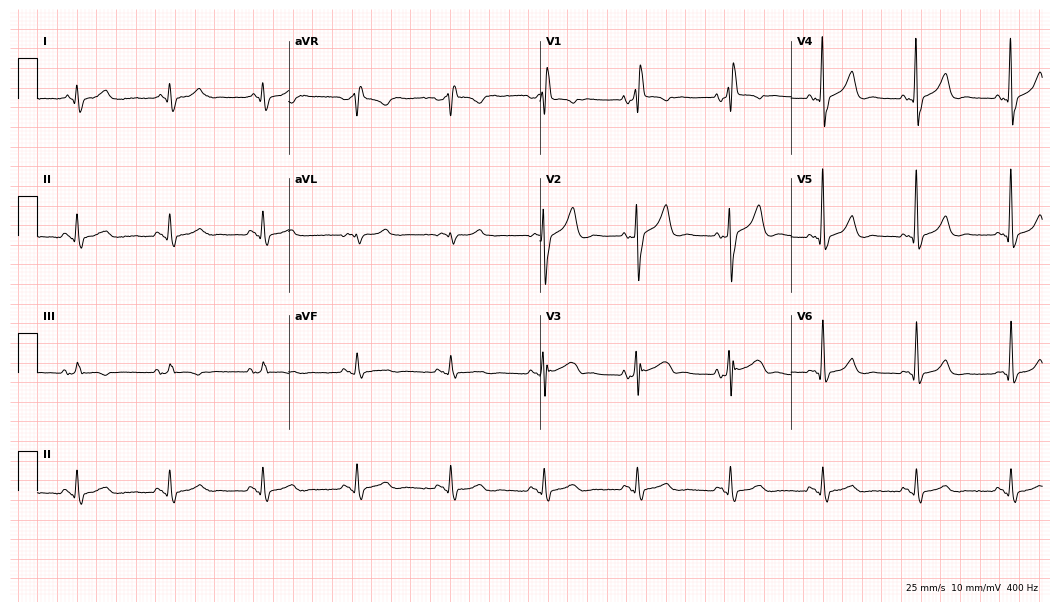
ECG (10.2-second recording at 400 Hz) — a 56-year-old man. Findings include right bundle branch block (RBBB).